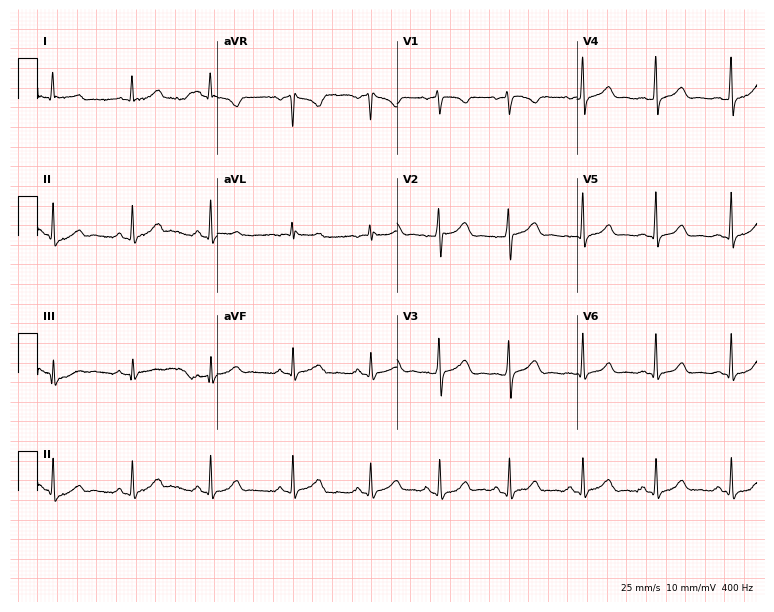
Electrocardiogram (7.3-second recording at 400 Hz), a female patient, 21 years old. Overall reading on record: normal ECG.